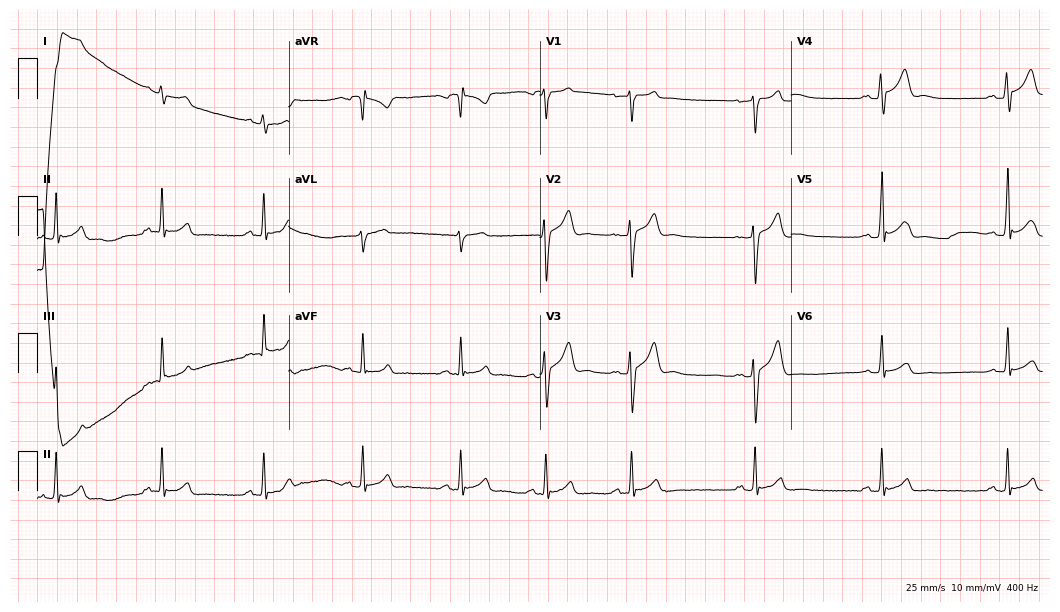
Resting 12-lead electrocardiogram (10.2-second recording at 400 Hz). Patient: a man, 21 years old. Read as a normal ECG.